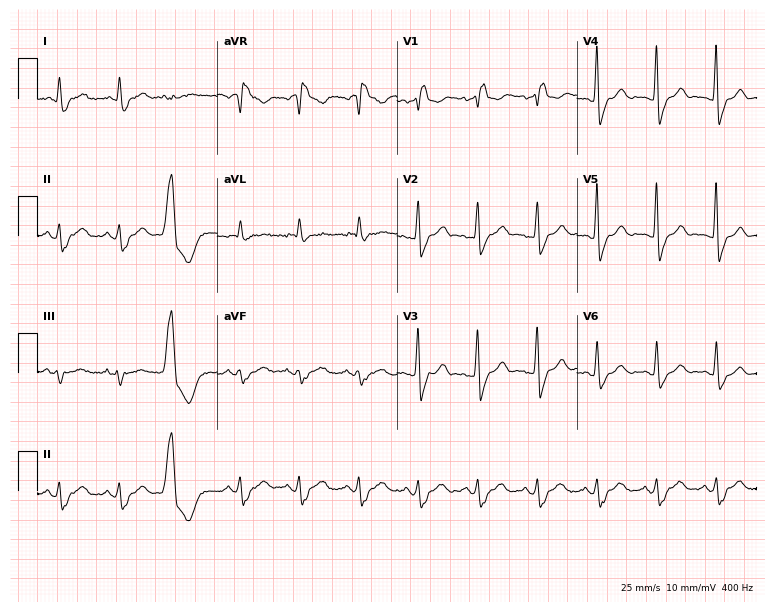
12-lead ECG from a 69-year-old male patient. Shows right bundle branch block (RBBB).